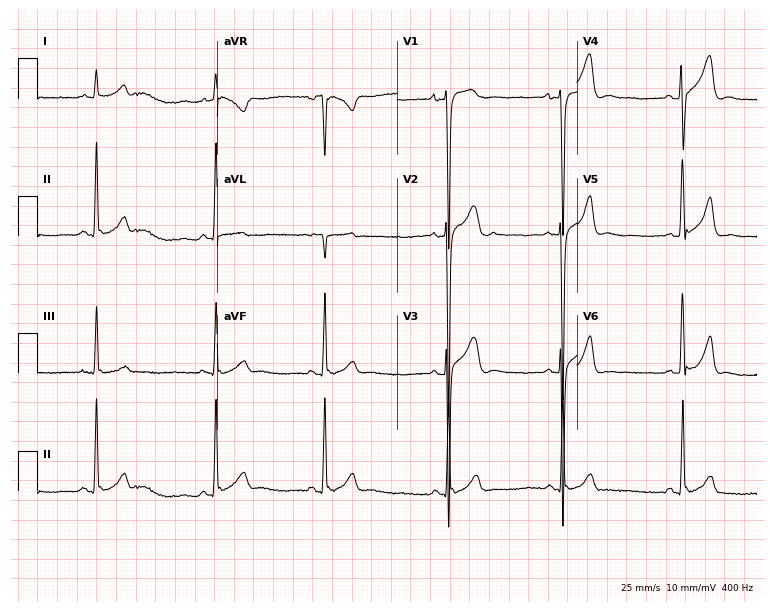
Resting 12-lead electrocardiogram. Patient: a male, 18 years old. Read as a normal ECG.